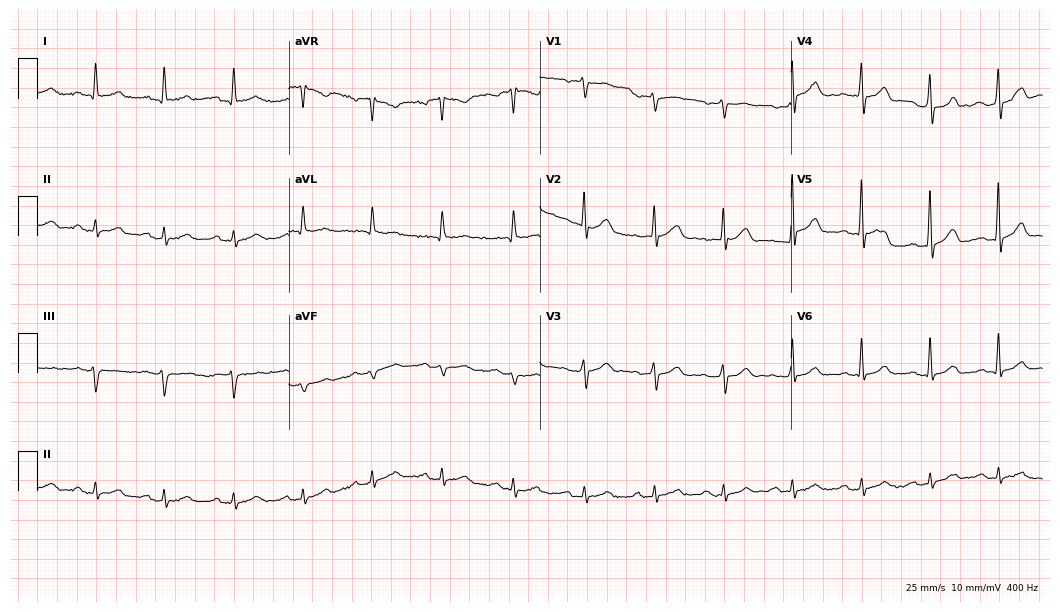
Electrocardiogram (10.2-second recording at 400 Hz), a man, 68 years old. Interpretation includes first-degree AV block.